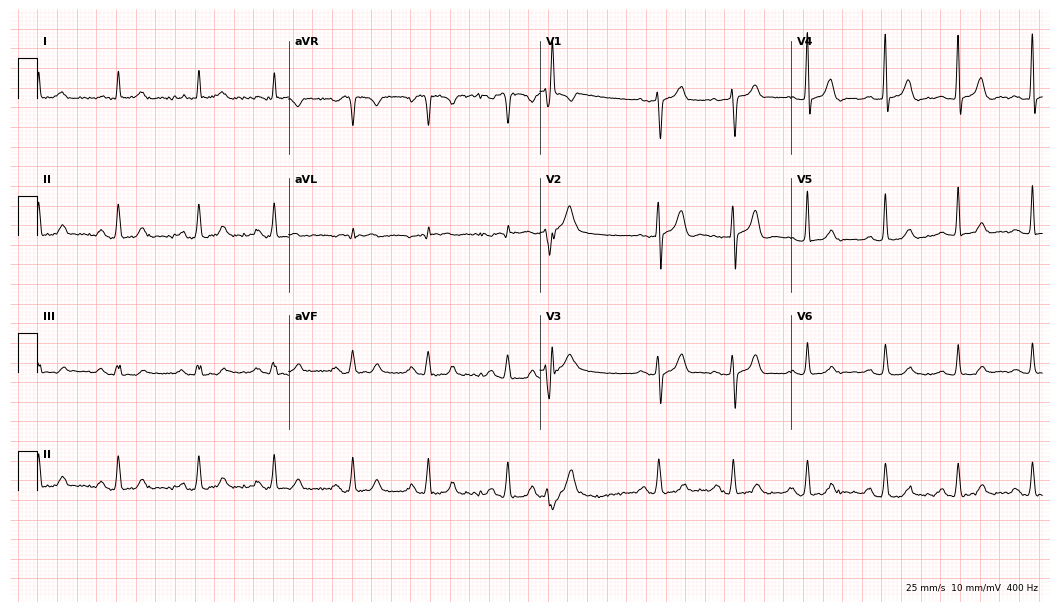
Electrocardiogram, a man, 82 years old. Overall reading on record: normal ECG.